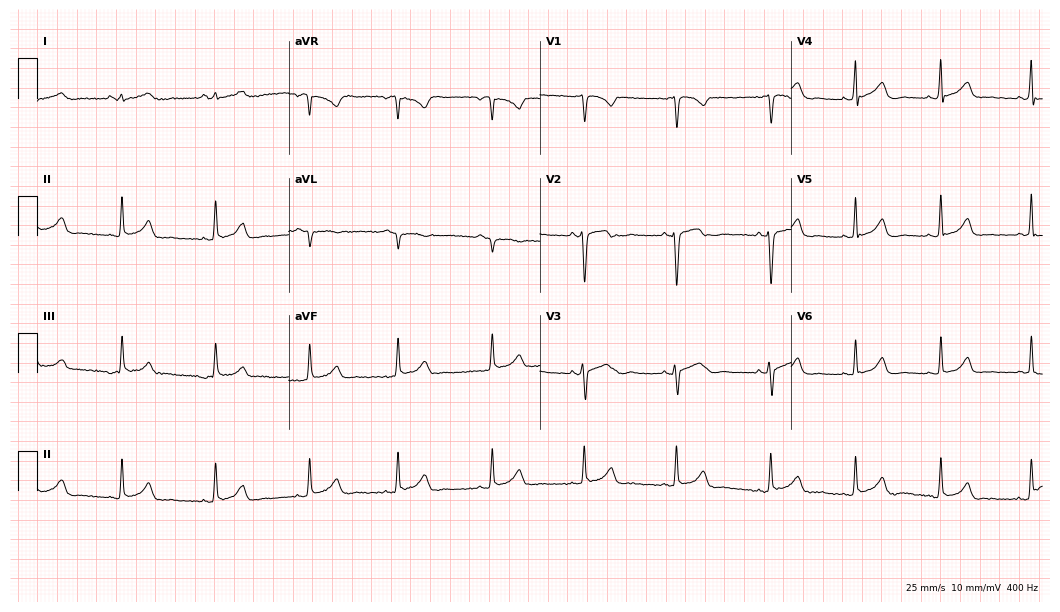
12-lead ECG (10.2-second recording at 400 Hz) from a female patient, 23 years old. Labelled as a normal ECG.